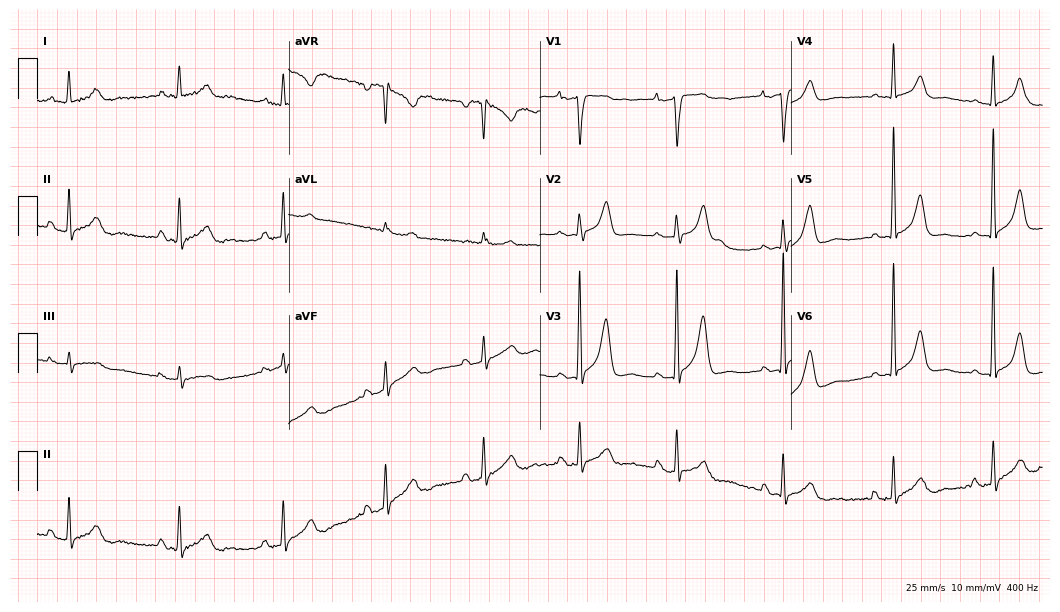
Resting 12-lead electrocardiogram. Patient: a 54-year-old female. None of these six findings is recorded: first-degree AV block, right bundle branch block, left bundle branch block, sinus bradycardia, atrial fibrillation, sinus tachycardia. Other findings, if any, are not listed.